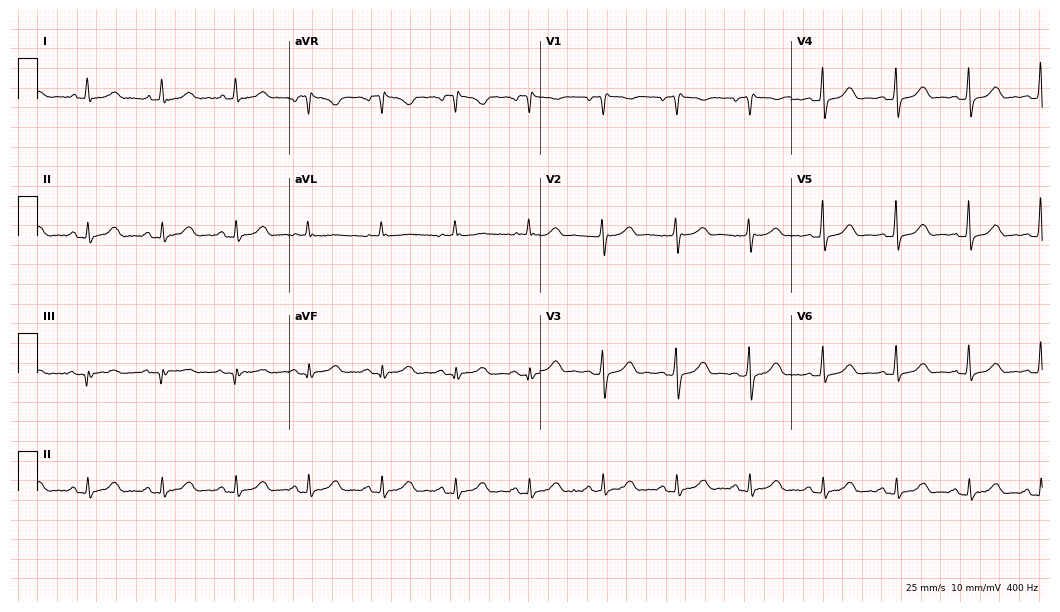
12-lead ECG (10.2-second recording at 400 Hz) from a woman, 61 years old. Screened for six findings — first-degree AV block, right bundle branch block, left bundle branch block, sinus bradycardia, atrial fibrillation, sinus tachycardia — none is recorded.